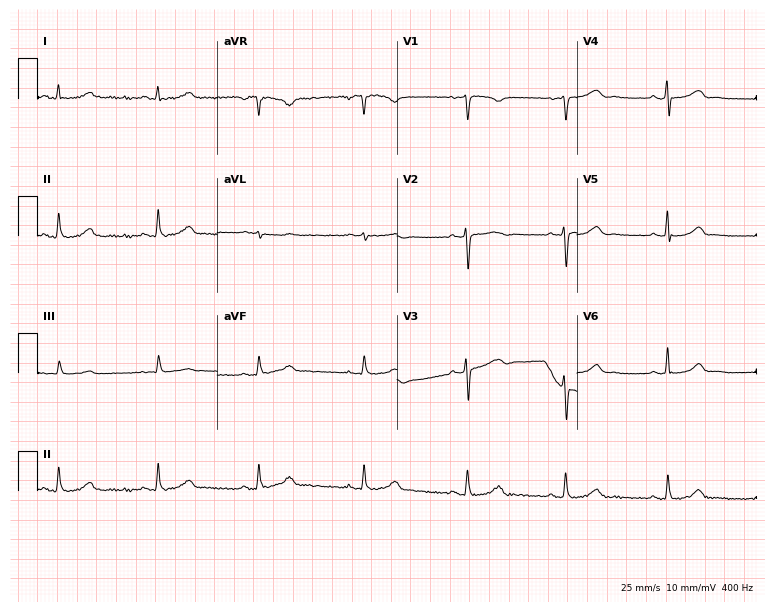
ECG (7.3-second recording at 400 Hz) — a 45-year-old woman. Screened for six findings — first-degree AV block, right bundle branch block, left bundle branch block, sinus bradycardia, atrial fibrillation, sinus tachycardia — none is recorded. Only these six findings were labelled.